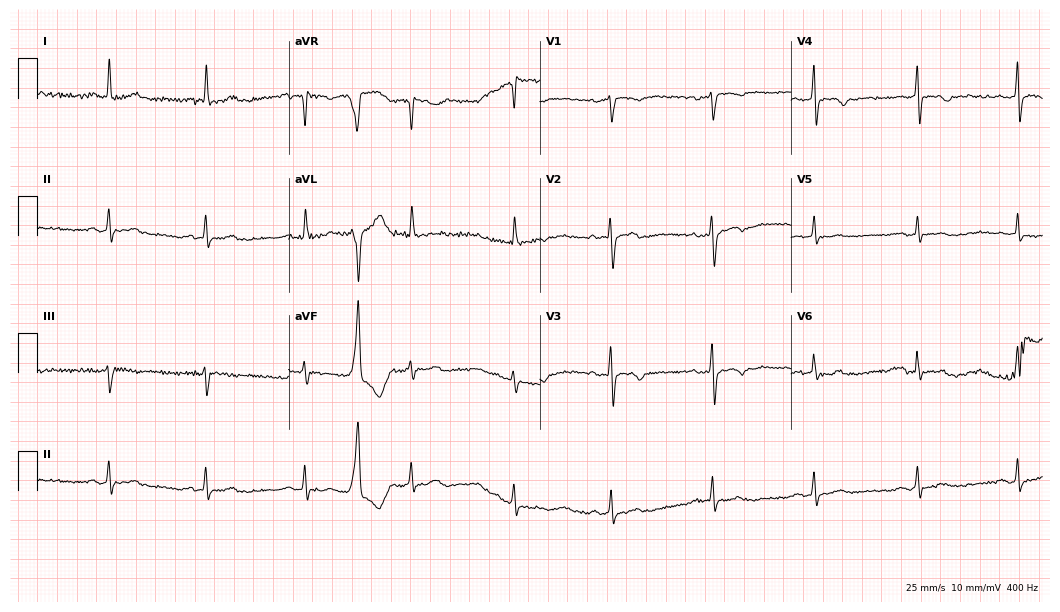
12-lead ECG (10.2-second recording at 400 Hz) from a 23-year-old female. Screened for six findings — first-degree AV block, right bundle branch block, left bundle branch block, sinus bradycardia, atrial fibrillation, sinus tachycardia — none is recorded. Only these six findings were labelled.